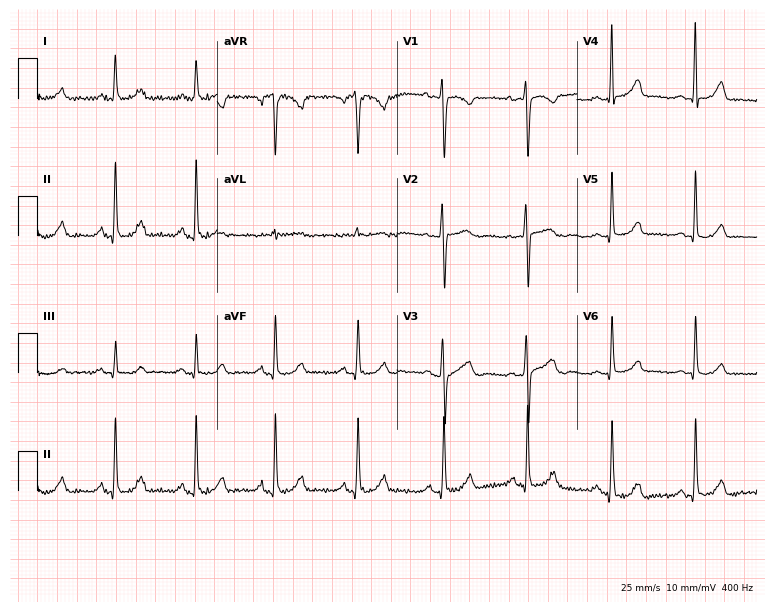
ECG — a 43-year-old female patient. Labelled as a normal ECG.